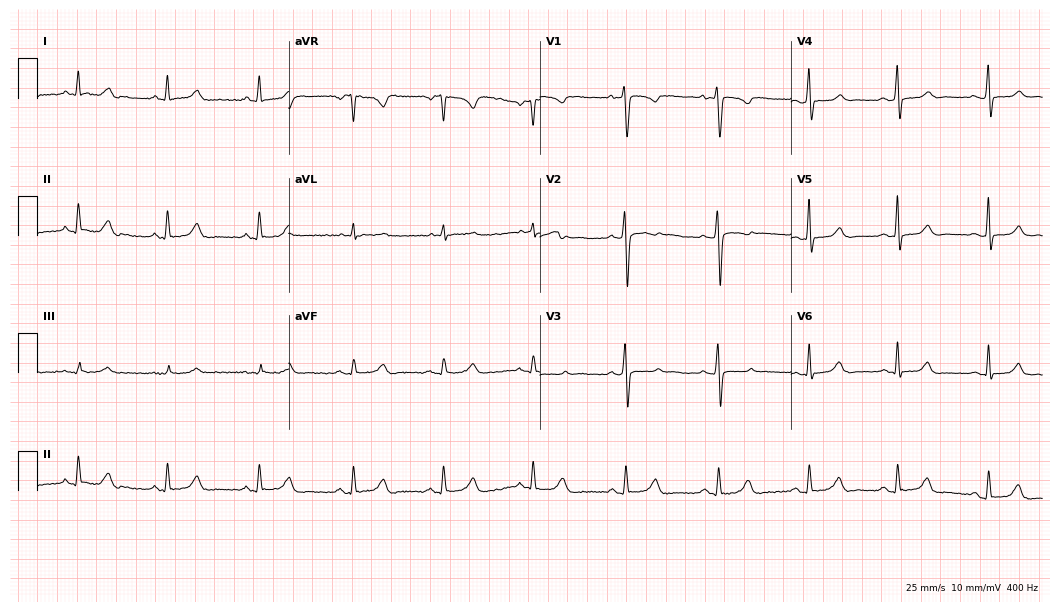
Standard 12-lead ECG recorded from a female patient, 28 years old. Read as a normal ECG.